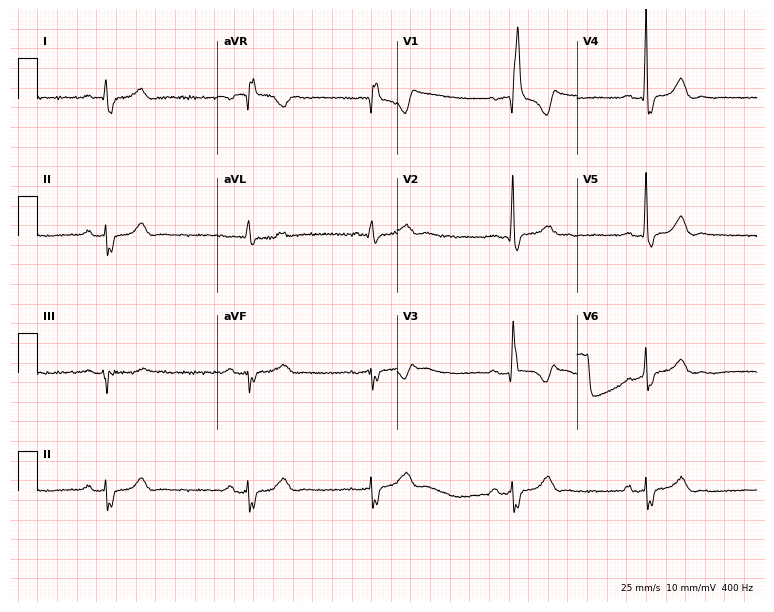
Resting 12-lead electrocardiogram. Patient: an 81-year-old male. The tracing shows right bundle branch block, sinus bradycardia (a sinus rate of 50 beats per minute or less).